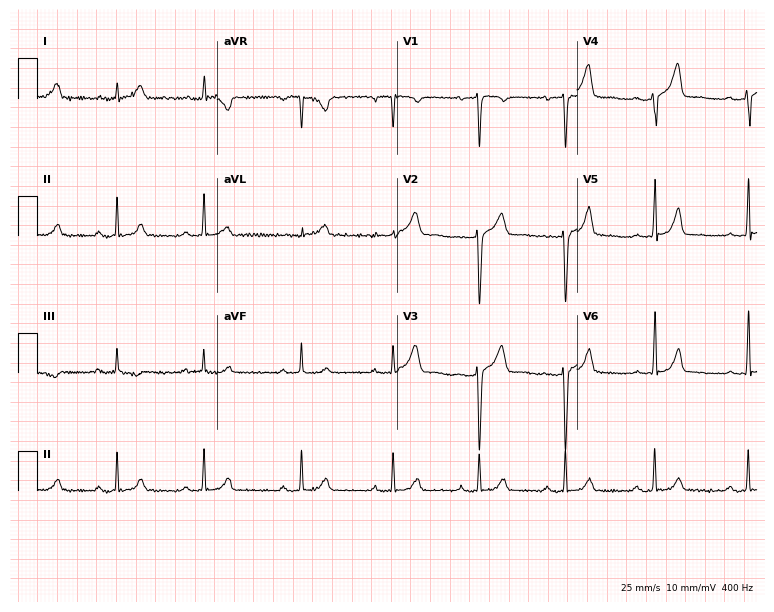
12-lead ECG (7.3-second recording at 400 Hz) from a 35-year-old male. Screened for six findings — first-degree AV block, right bundle branch block, left bundle branch block, sinus bradycardia, atrial fibrillation, sinus tachycardia — none is recorded.